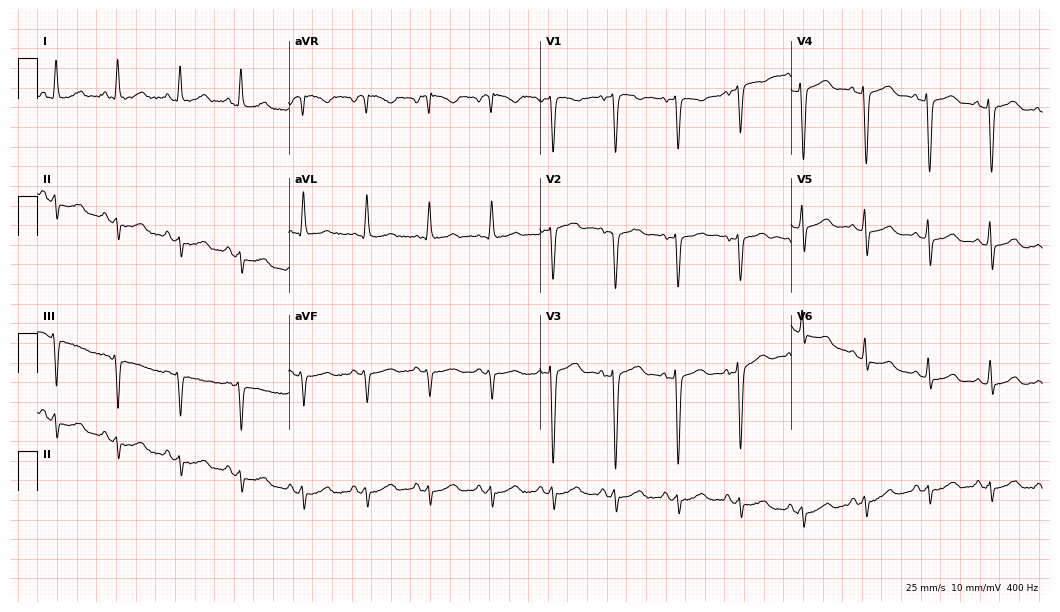
12-lead ECG from a woman, 53 years old (10.2-second recording at 400 Hz). No first-degree AV block, right bundle branch block, left bundle branch block, sinus bradycardia, atrial fibrillation or sinus tachycardia recorded for this tracing.